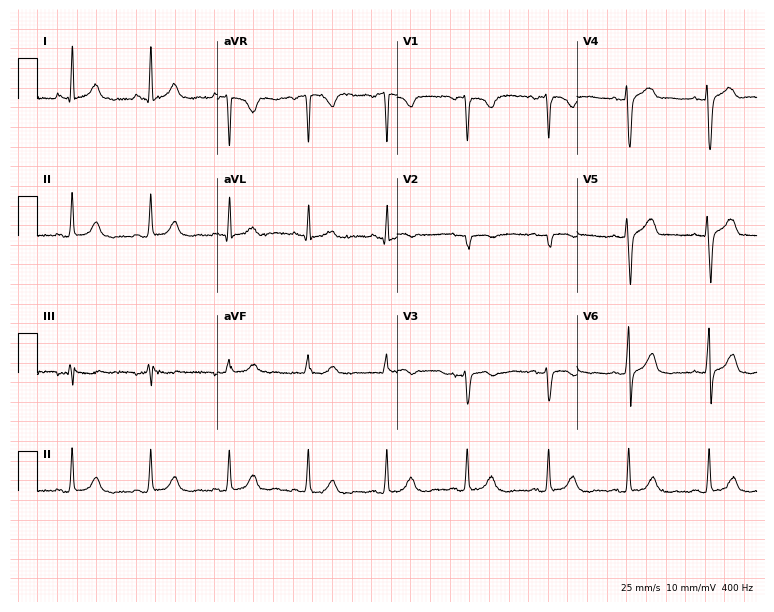
Standard 12-lead ECG recorded from a 47-year-old female patient. None of these six findings is recorded: first-degree AV block, right bundle branch block, left bundle branch block, sinus bradycardia, atrial fibrillation, sinus tachycardia.